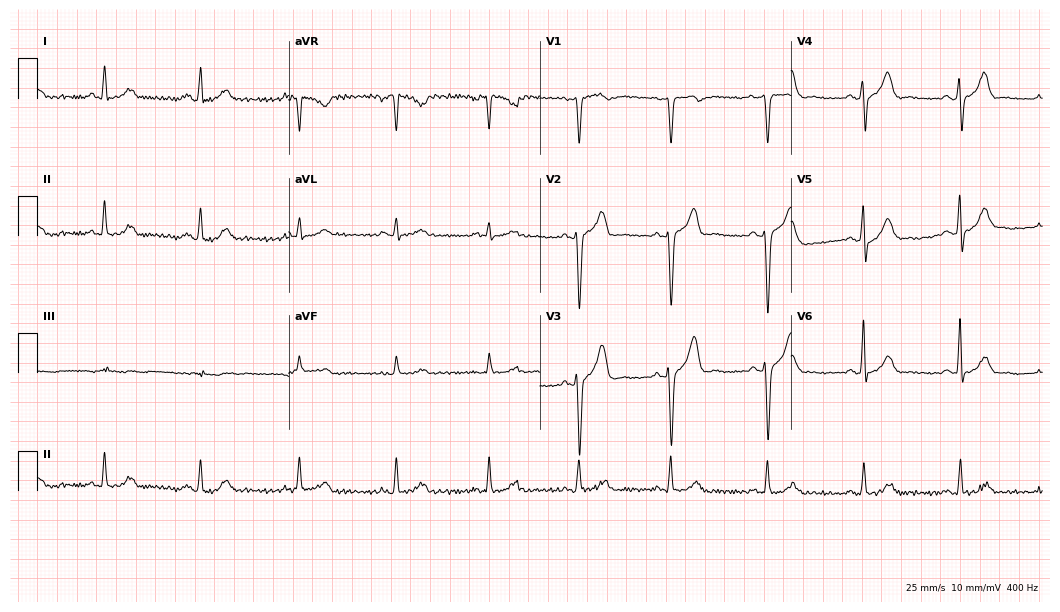
ECG — a female, 29 years old. Labelled as a normal ECG.